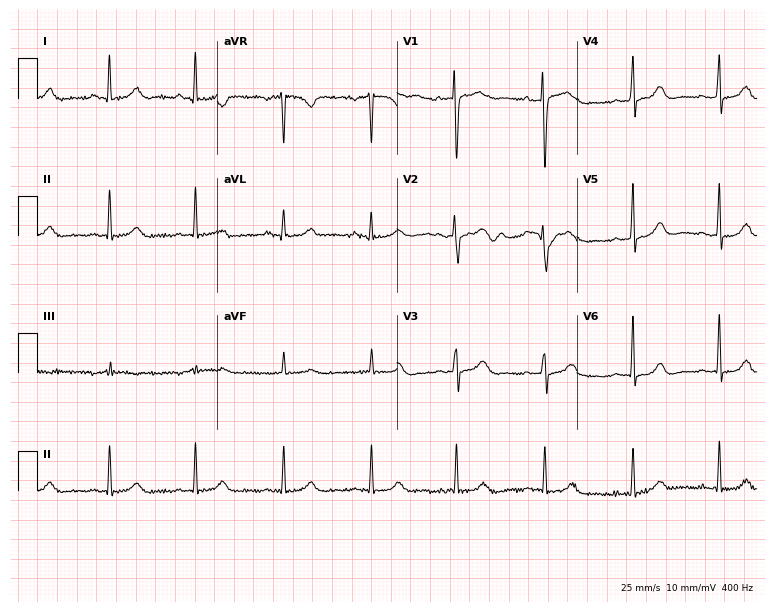
ECG (7.3-second recording at 400 Hz) — a female patient, 51 years old. Labelled as a normal ECG.